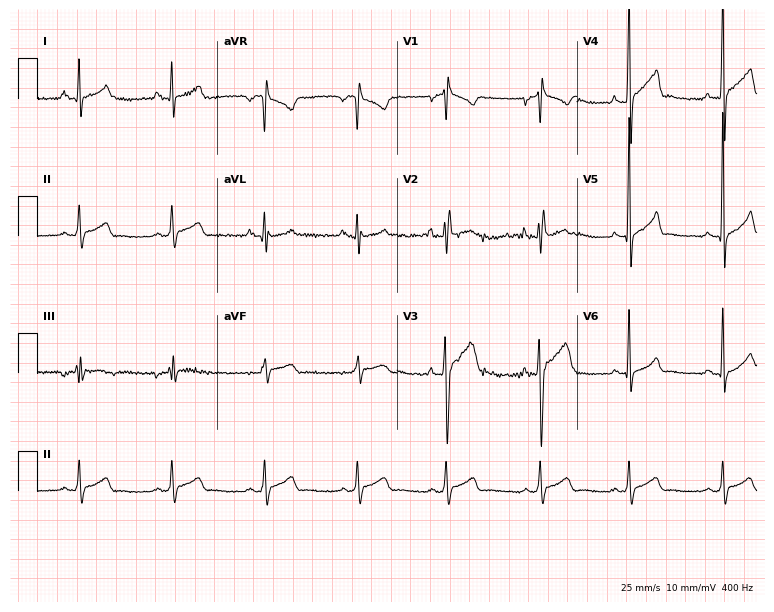
12-lead ECG from a 17-year-old male patient (7.3-second recording at 400 Hz). No first-degree AV block, right bundle branch block (RBBB), left bundle branch block (LBBB), sinus bradycardia, atrial fibrillation (AF) or sinus tachycardia recorded for this tracing.